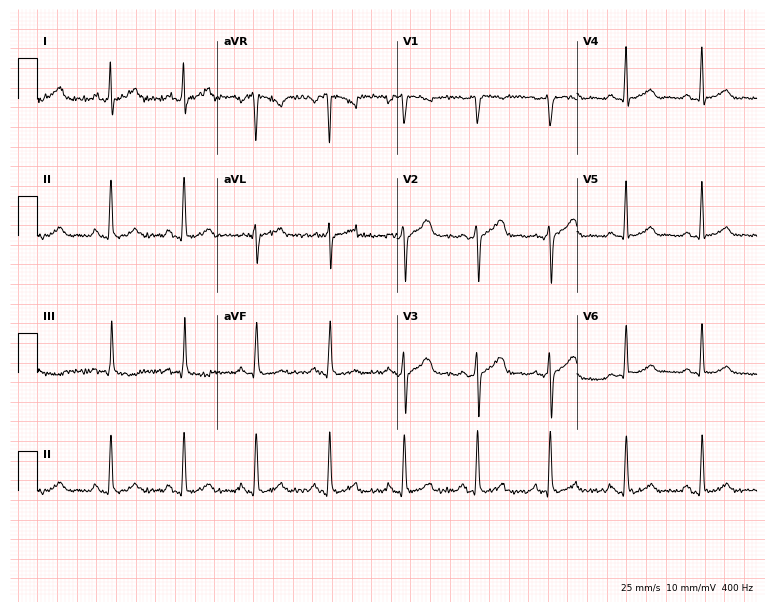
12-lead ECG from a female, 26 years old (7.3-second recording at 400 Hz). Recorded interpretation: within normal limits.